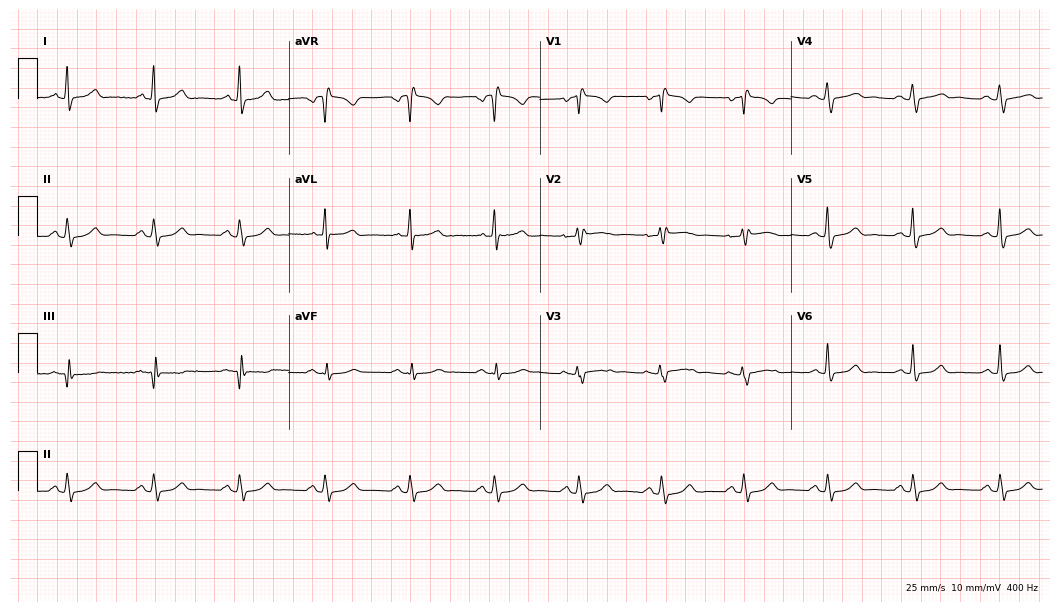
12-lead ECG from a 45-year-old female patient. Screened for six findings — first-degree AV block, right bundle branch block (RBBB), left bundle branch block (LBBB), sinus bradycardia, atrial fibrillation (AF), sinus tachycardia — none is recorded.